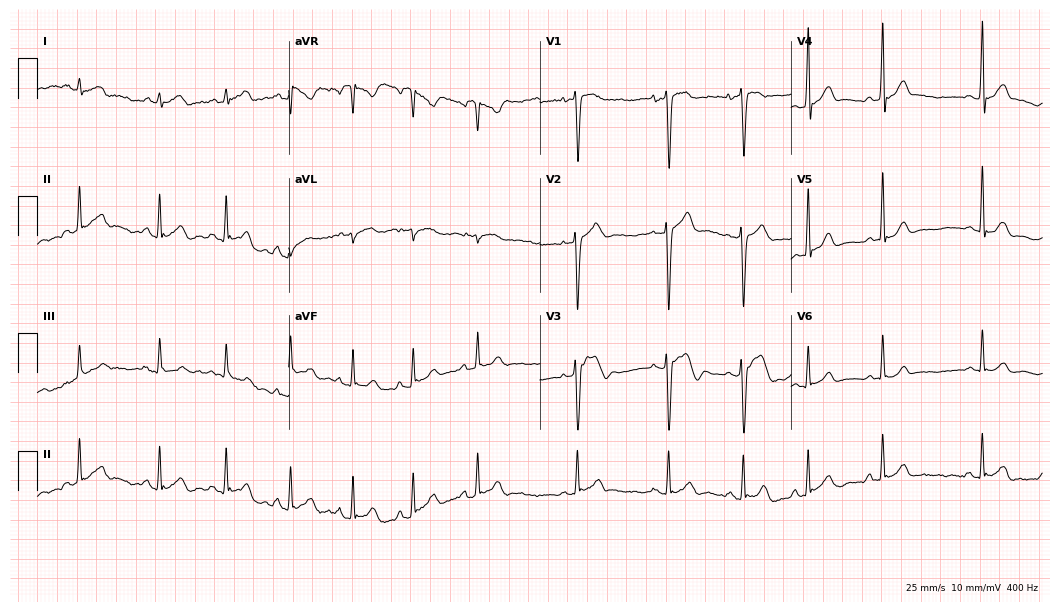
12-lead ECG from a male patient, 19 years old (10.2-second recording at 400 Hz). Recorded interpretation: within normal limits.